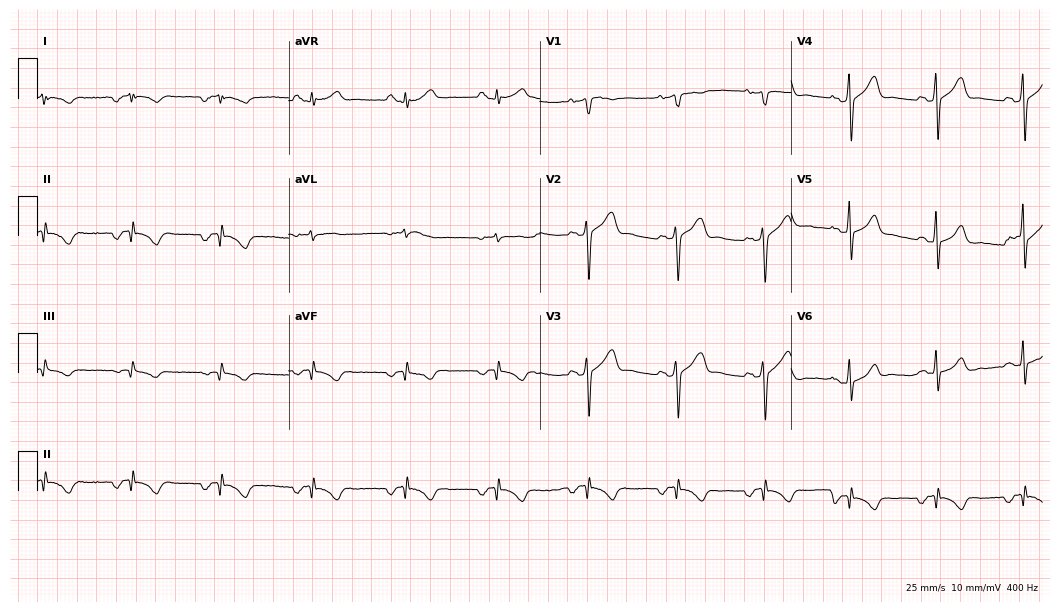
Resting 12-lead electrocardiogram. Patient: a 63-year-old male. None of these six findings is recorded: first-degree AV block, right bundle branch block, left bundle branch block, sinus bradycardia, atrial fibrillation, sinus tachycardia. Findings outside these six are not listed.